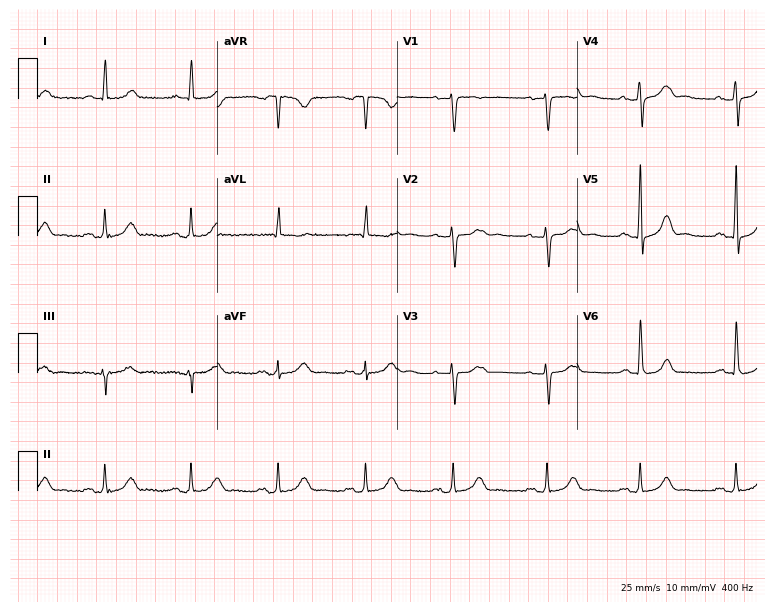
Resting 12-lead electrocardiogram. Patient: a woman, 76 years old. None of these six findings is recorded: first-degree AV block, right bundle branch block (RBBB), left bundle branch block (LBBB), sinus bradycardia, atrial fibrillation (AF), sinus tachycardia. Only these six findings were labelled.